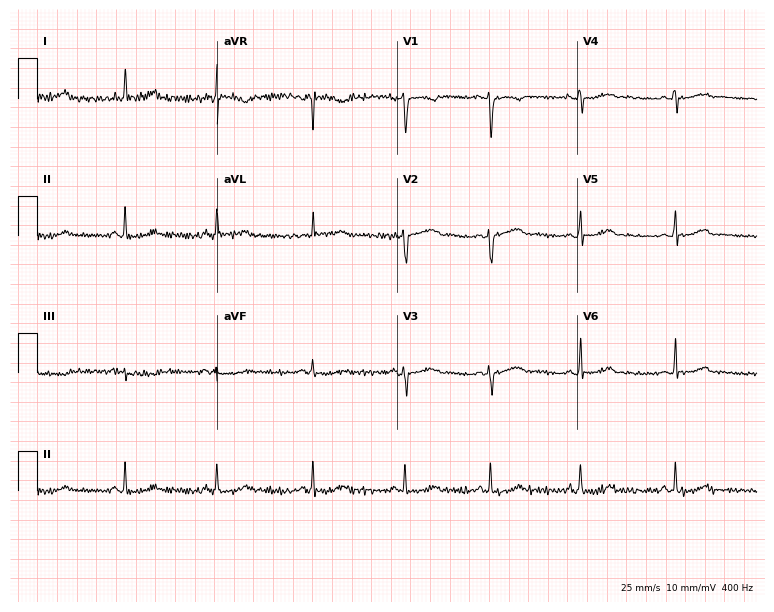
12-lead ECG from a 26-year-old woman (7.3-second recording at 400 Hz). Recorded interpretation: within normal limits.